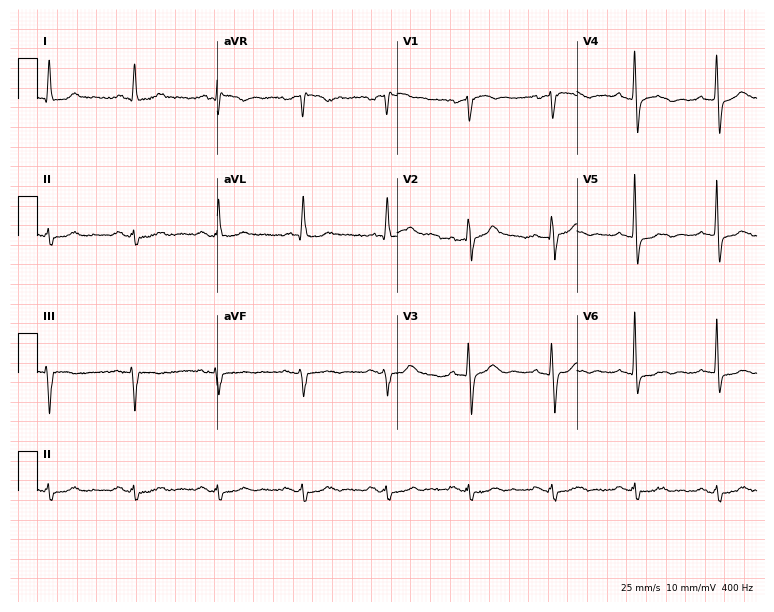
Electrocardiogram, a man, 76 years old. Interpretation includes first-degree AV block.